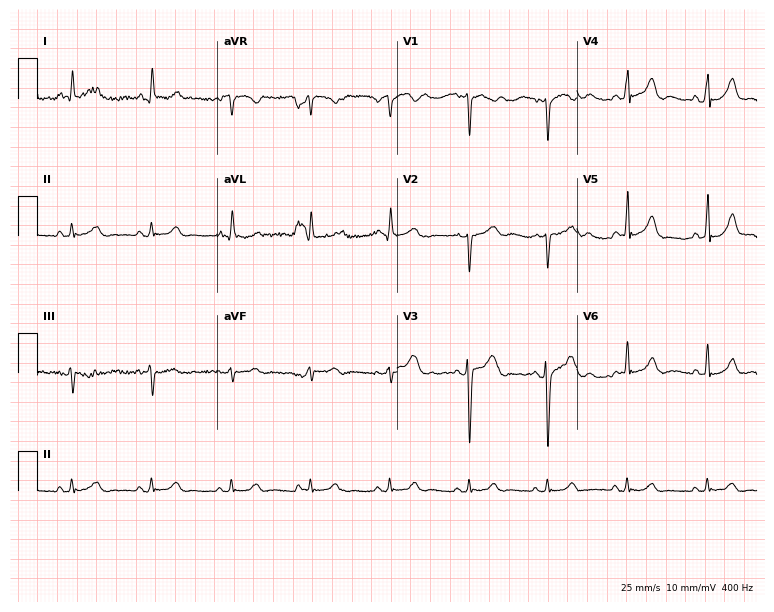
ECG (7.3-second recording at 400 Hz) — a 35-year-old female. Labelled as a normal ECG.